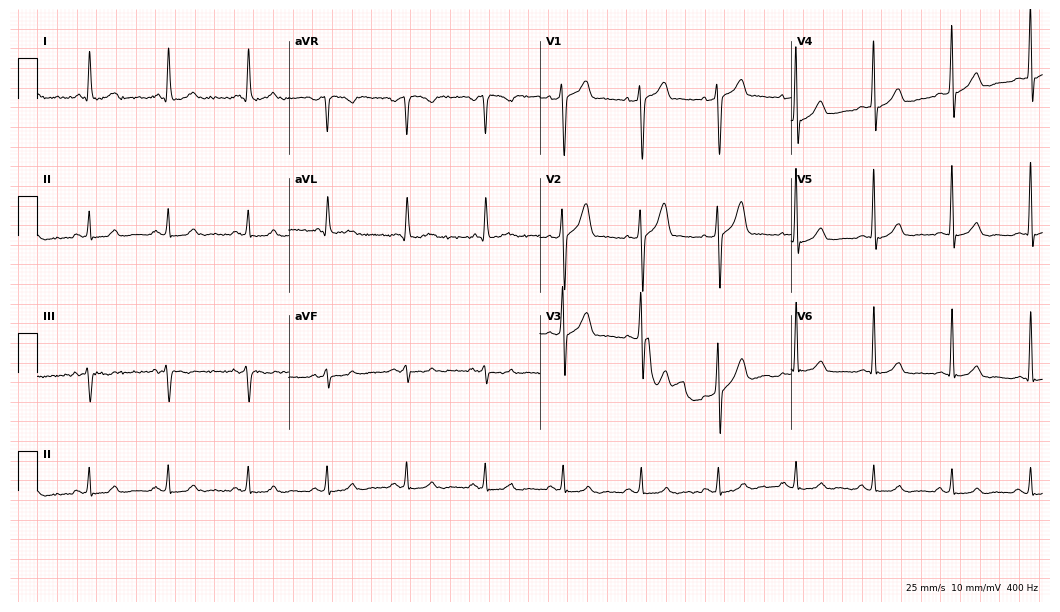
12-lead ECG (10.2-second recording at 400 Hz) from a 48-year-old male patient. Labelled as a normal ECG.